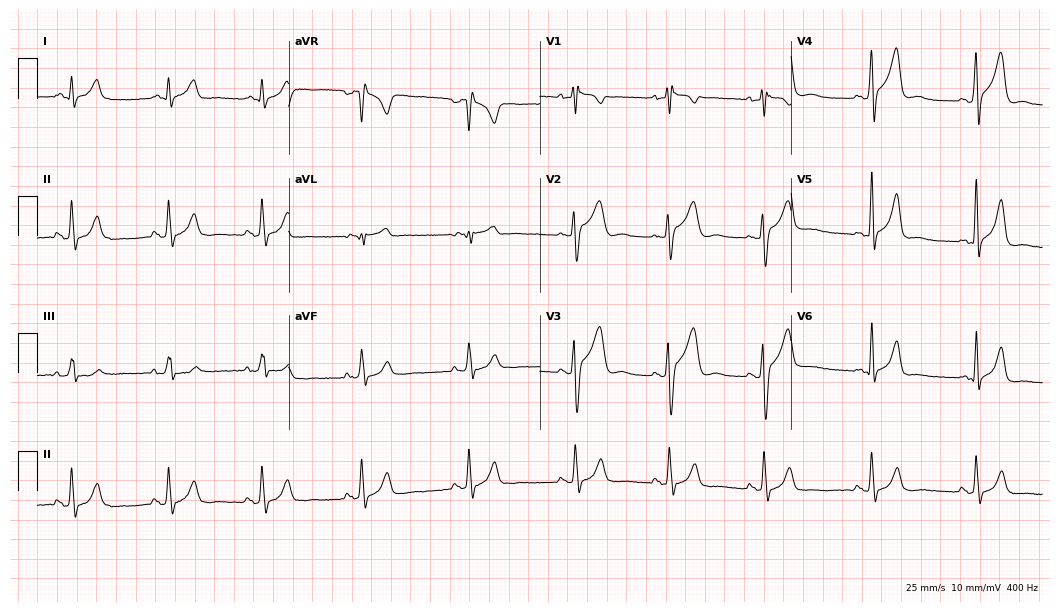
Electrocardiogram (10.2-second recording at 400 Hz), a 38-year-old male. Of the six screened findings (first-degree AV block, right bundle branch block, left bundle branch block, sinus bradycardia, atrial fibrillation, sinus tachycardia), none is recorded.